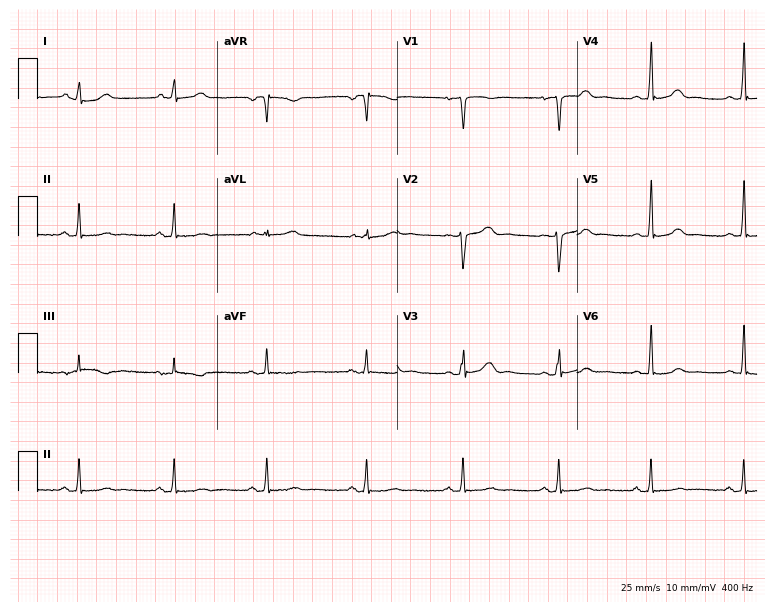
12-lead ECG from a woman, 42 years old (7.3-second recording at 400 Hz). No first-degree AV block, right bundle branch block (RBBB), left bundle branch block (LBBB), sinus bradycardia, atrial fibrillation (AF) or sinus tachycardia recorded for this tracing.